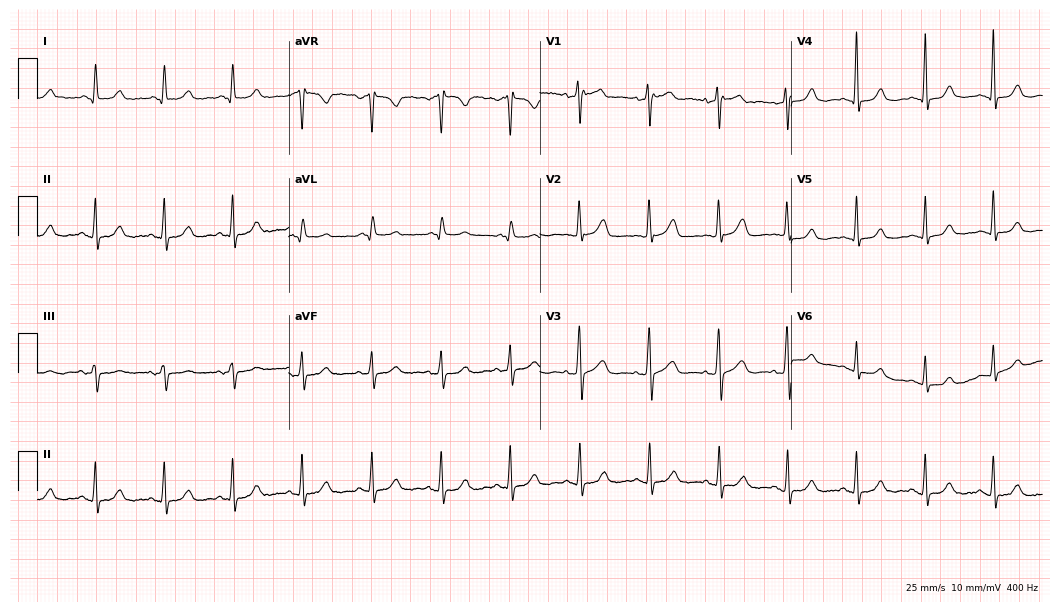
12-lead ECG from a woman, 80 years old. Labelled as a normal ECG.